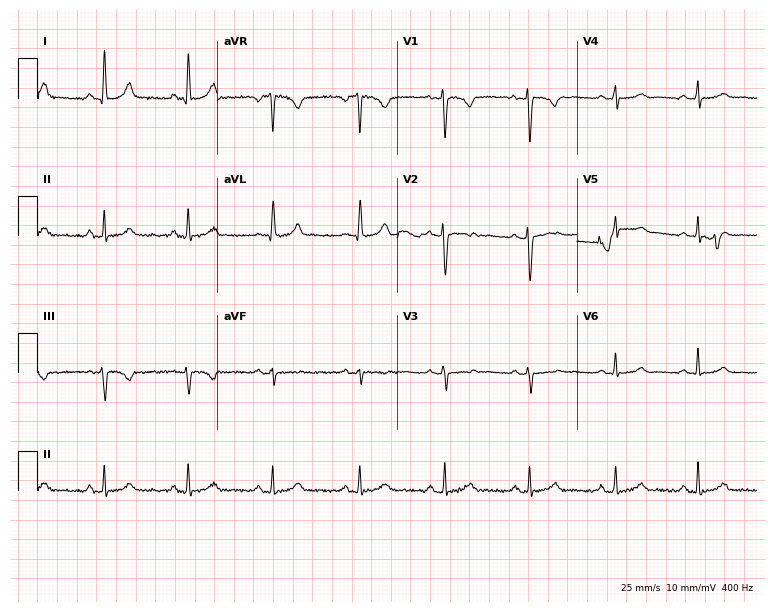
12-lead ECG from a woman, 39 years old (7.3-second recording at 400 Hz). Recorded interpretation: within normal limits.